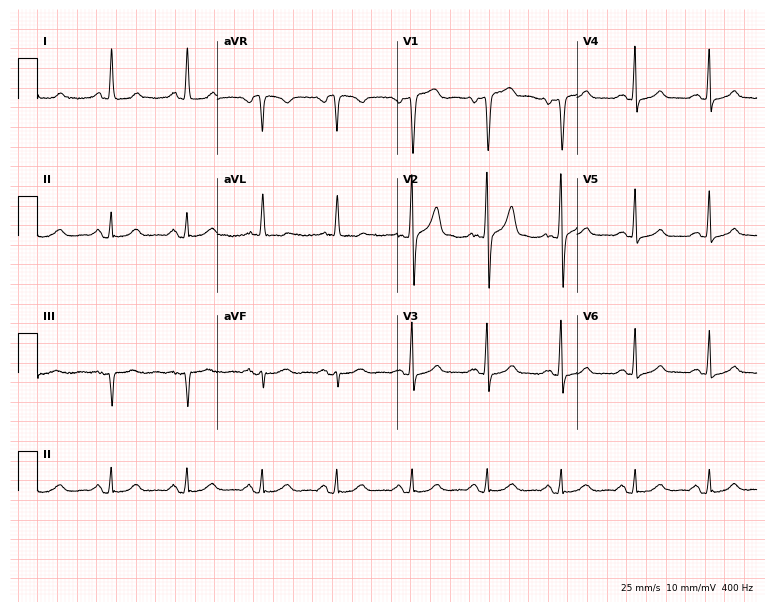
12-lead ECG (7.3-second recording at 400 Hz) from a female patient, 75 years old. Labelled as a normal ECG.